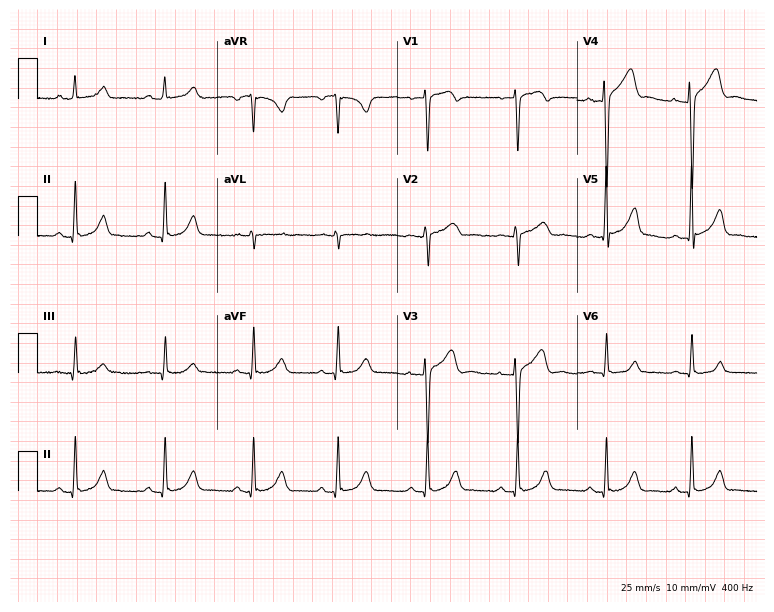
Electrocardiogram, a woman, 27 years old. Overall reading on record: normal ECG.